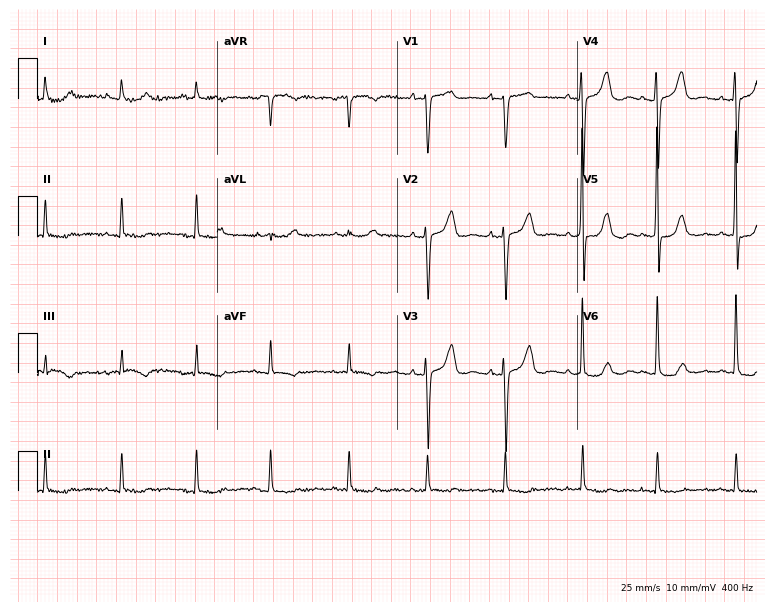
12-lead ECG from a female, 75 years old. Screened for six findings — first-degree AV block, right bundle branch block, left bundle branch block, sinus bradycardia, atrial fibrillation, sinus tachycardia — none is recorded. Only these six findings were labelled.